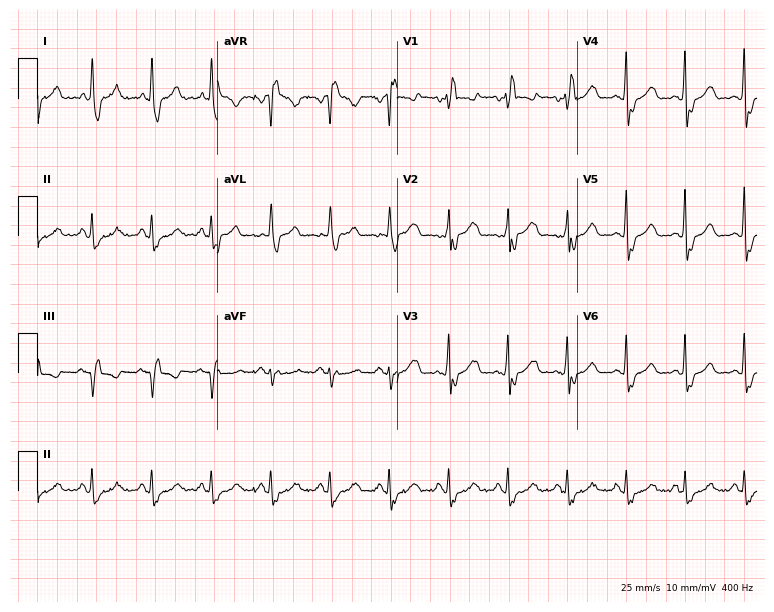
Resting 12-lead electrocardiogram (7.3-second recording at 400 Hz). Patient: a 72-year-old female. The tracing shows right bundle branch block.